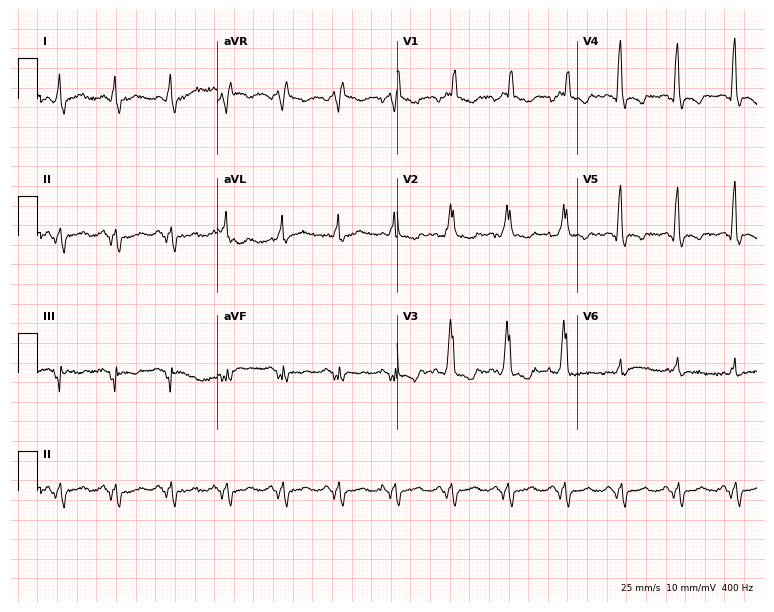
Electrocardiogram, a 53-year-old male. Interpretation includes right bundle branch block (RBBB).